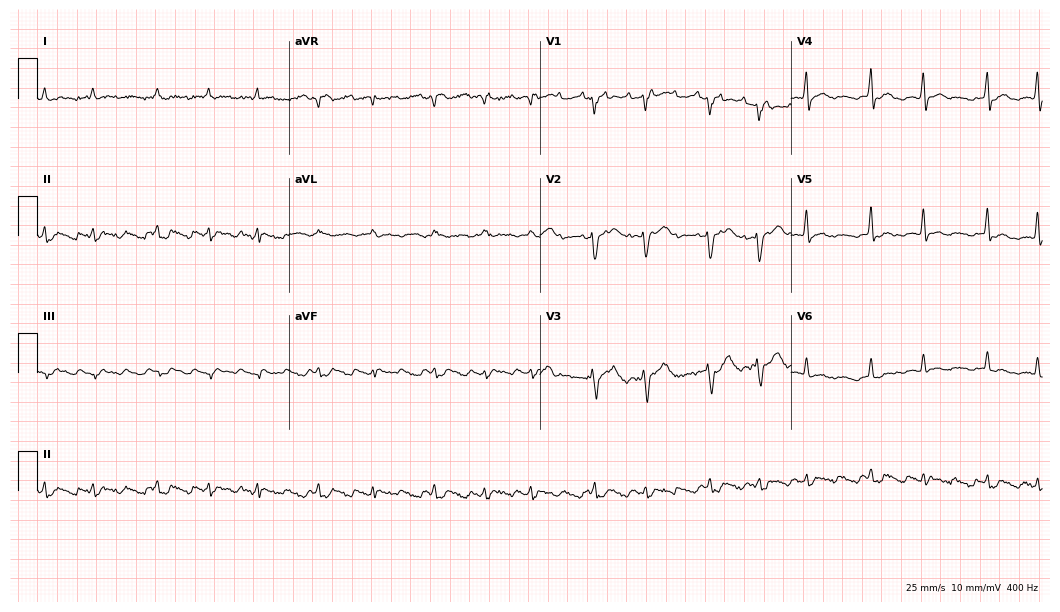
12-lead ECG from a male, 70 years old. No first-degree AV block, right bundle branch block, left bundle branch block, sinus bradycardia, atrial fibrillation or sinus tachycardia recorded for this tracing. Findings outside these six are not listed.